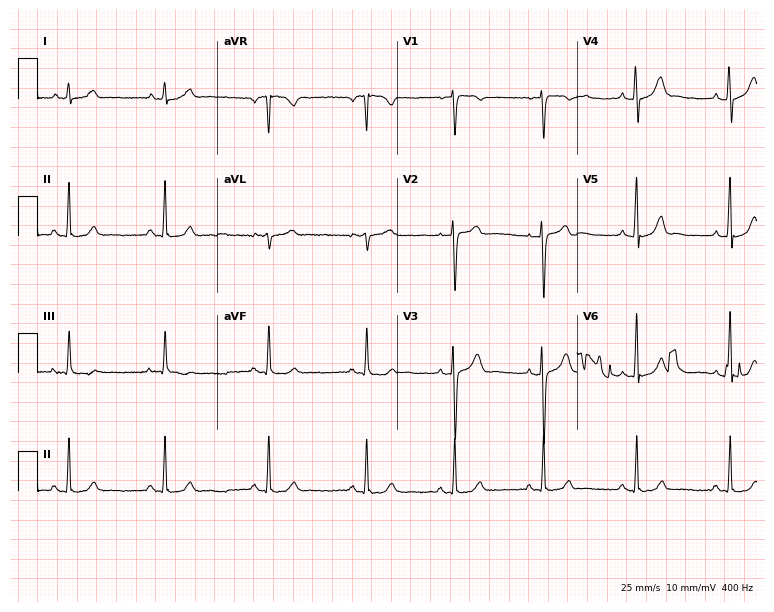
12-lead ECG from a 30-year-old female patient (7.3-second recording at 400 Hz). Recorded interpretation: within normal limits.